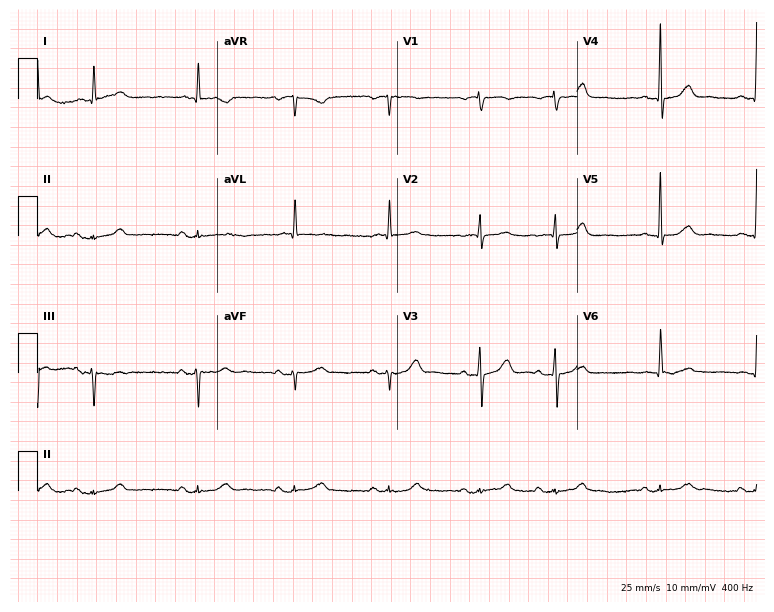
12-lead ECG from an 84-year-old man. Screened for six findings — first-degree AV block, right bundle branch block, left bundle branch block, sinus bradycardia, atrial fibrillation, sinus tachycardia — none is recorded. Only these six findings were labelled.